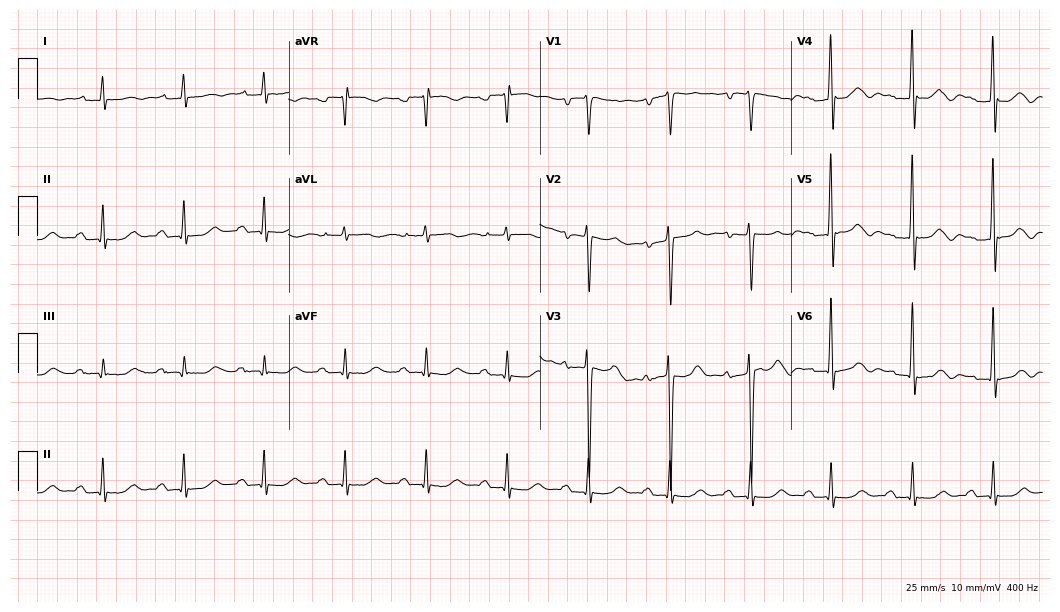
Electrocardiogram, a 73-year-old male patient. Interpretation includes first-degree AV block.